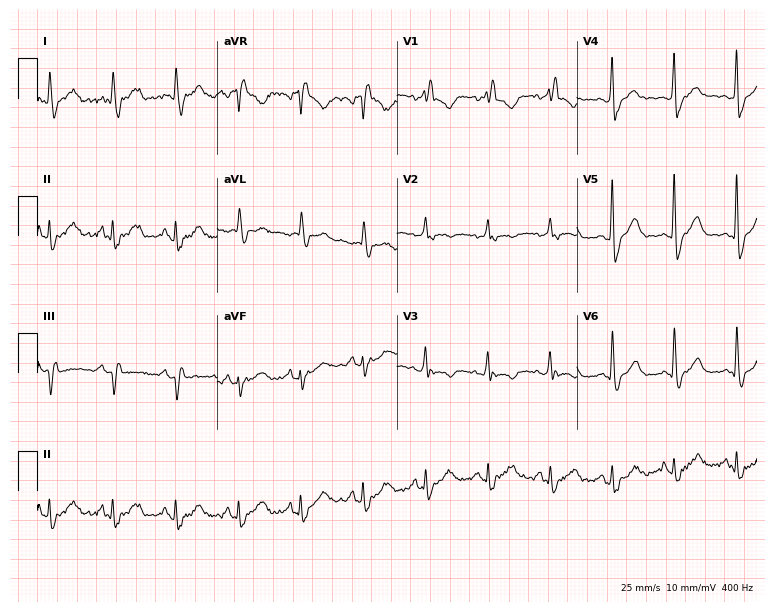
ECG — a female patient, 75 years old. Findings include right bundle branch block (RBBB).